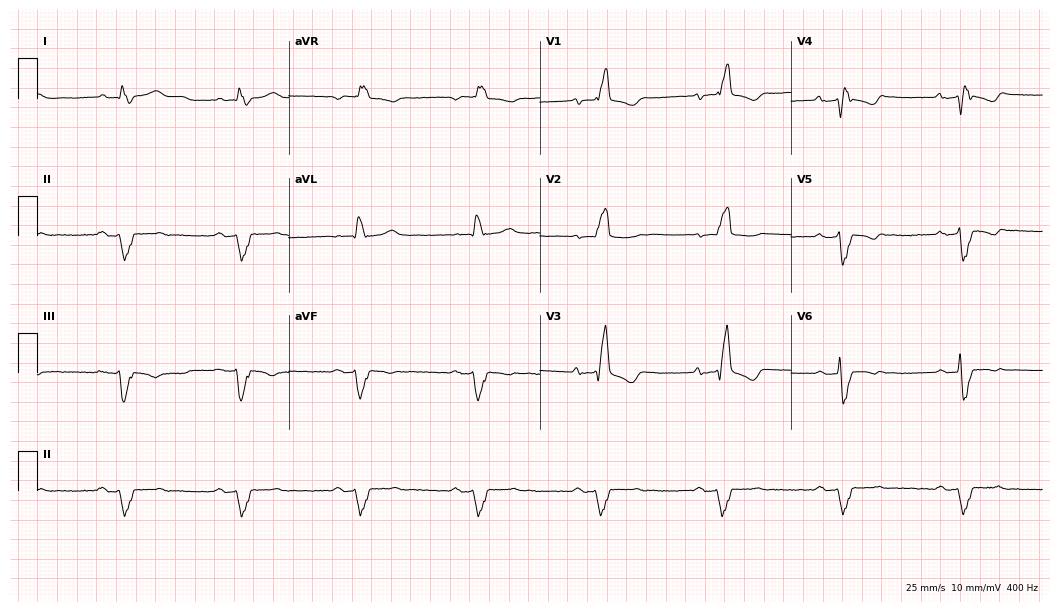
ECG — a 61-year-old male. Findings include first-degree AV block, right bundle branch block (RBBB).